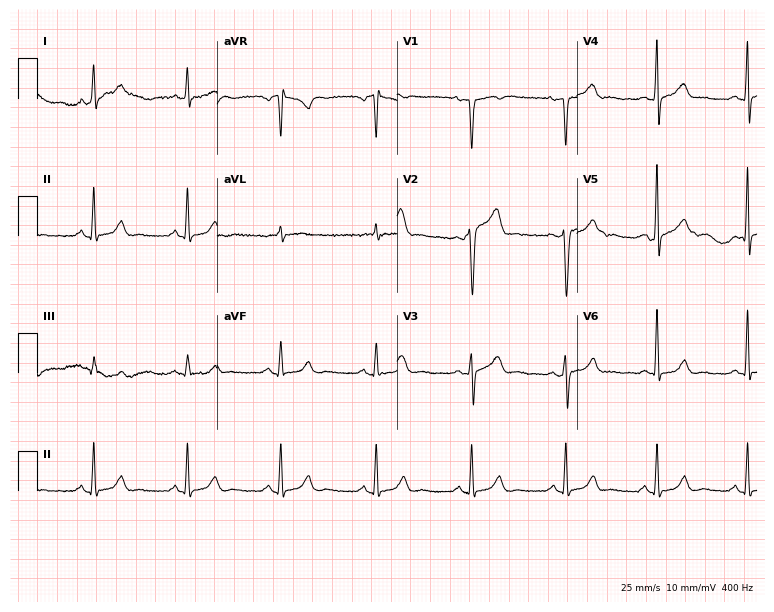
12-lead ECG from a male, 40 years old. Recorded interpretation: within normal limits.